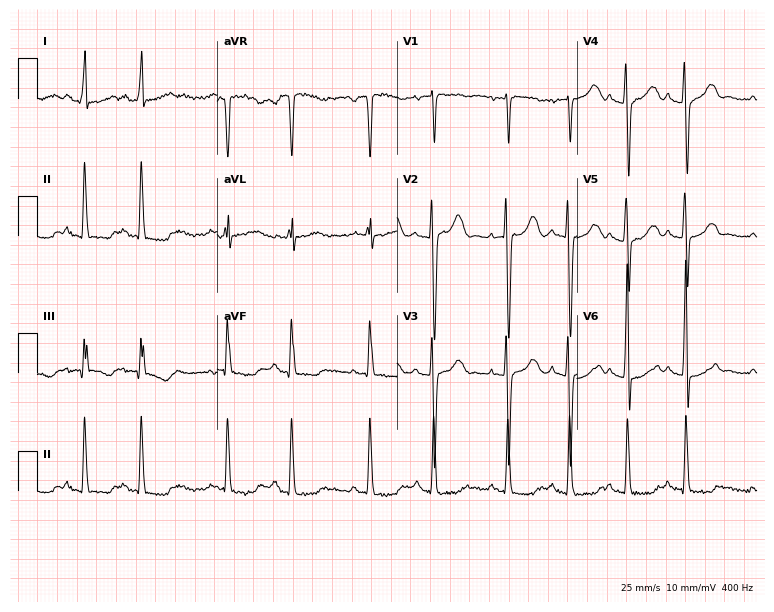
ECG — a woman, 63 years old. Screened for six findings — first-degree AV block, right bundle branch block (RBBB), left bundle branch block (LBBB), sinus bradycardia, atrial fibrillation (AF), sinus tachycardia — none is recorded.